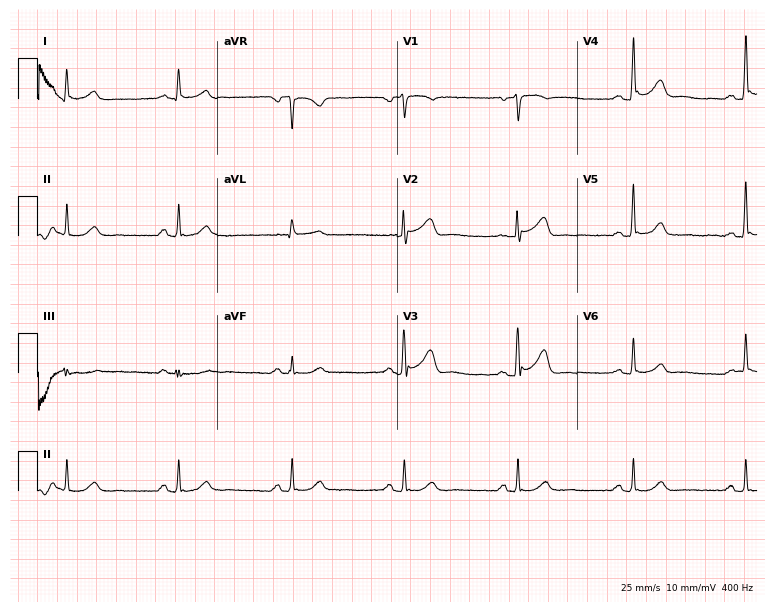
12-lead ECG from a female patient, 64 years old (7.3-second recording at 400 Hz). Recorded interpretation: within normal limits.